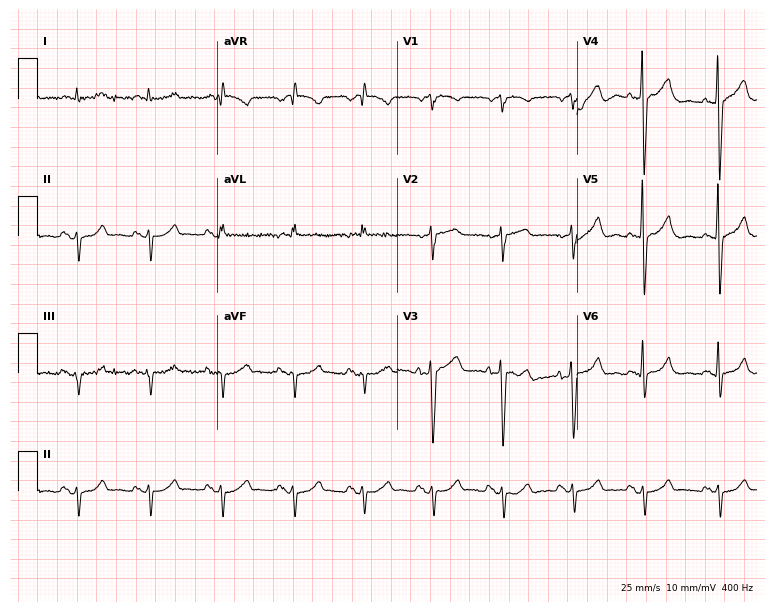
Standard 12-lead ECG recorded from a man, 63 years old (7.3-second recording at 400 Hz). None of these six findings is recorded: first-degree AV block, right bundle branch block, left bundle branch block, sinus bradycardia, atrial fibrillation, sinus tachycardia.